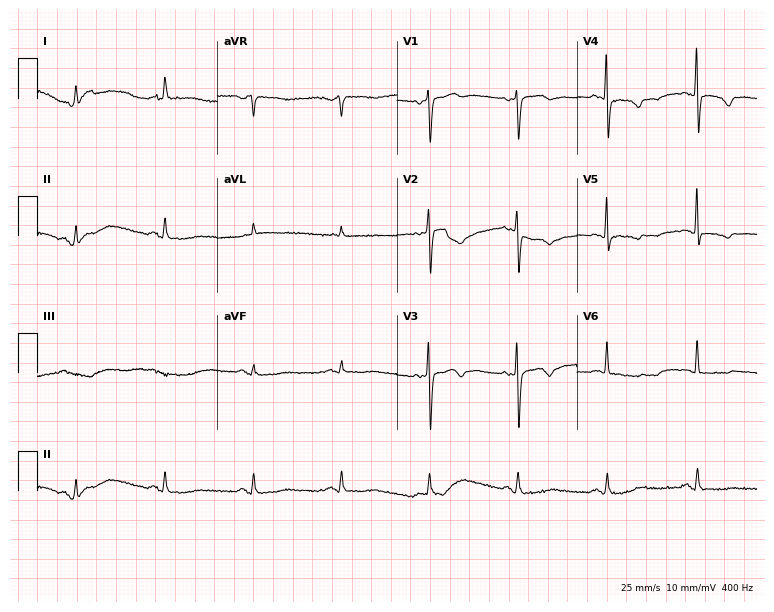
Resting 12-lead electrocardiogram. Patient: a 64-year-old female. None of these six findings is recorded: first-degree AV block, right bundle branch block (RBBB), left bundle branch block (LBBB), sinus bradycardia, atrial fibrillation (AF), sinus tachycardia.